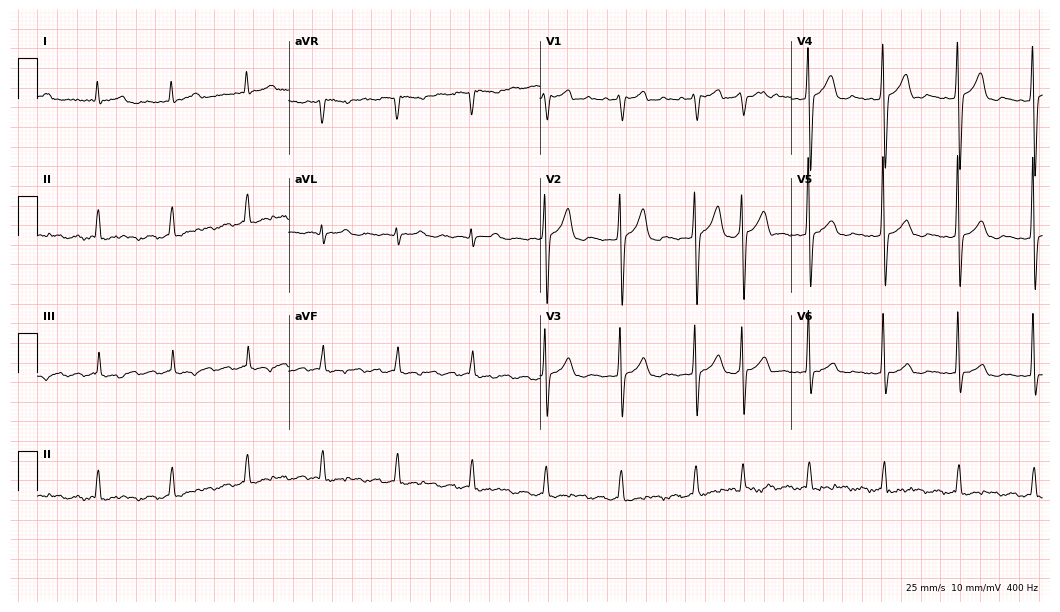
Resting 12-lead electrocardiogram (10.2-second recording at 400 Hz). Patient: a male, 74 years old. None of these six findings is recorded: first-degree AV block, right bundle branch block, left bundle branch block, sinus bradycardia, atrial fibrillation, sinus tachycardia. Findings outside these six are not listed.